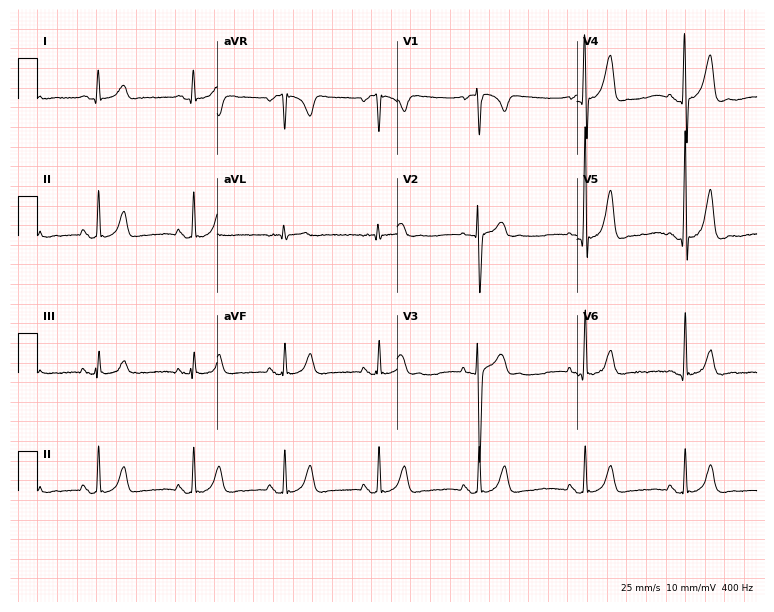
12-lead ECG from a man, 24 years old. Recorded interpretation: within normal limits.